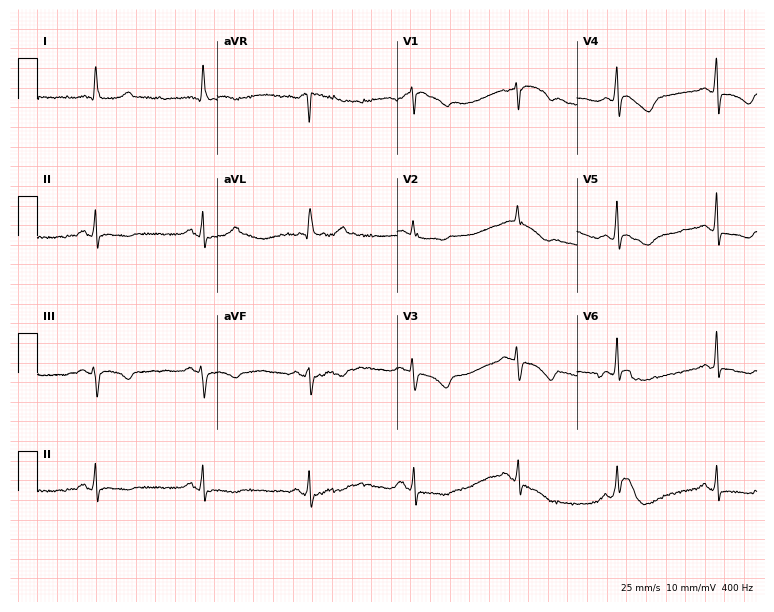
Electrocardiogram, a woman, 53 years old. Of the six screened findings (first-degree AV block, right bundle branch block, left bundle branch block, sinus bradycardia, atrial fibrillation, sinus tachycardia), none is recorded. Only these six findings were labelled.